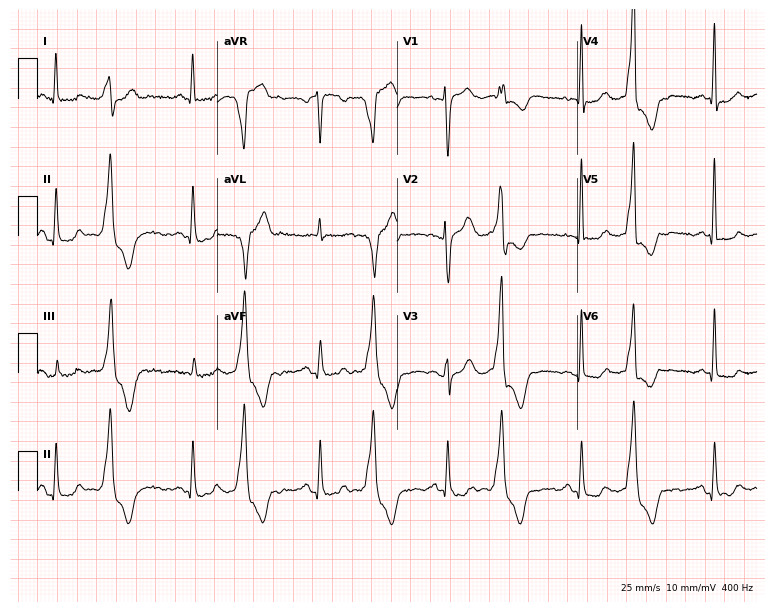
12-lead ECG from a woman, 49 years old (7.3-second recording at 400 Hz). No first-degree AV block, right bundle branch block (RBBB), left bundle branch block (LBBB), sinus bradycardia, atrial fibrillation (AF) or sinus tachycardia recorded for this tracing.